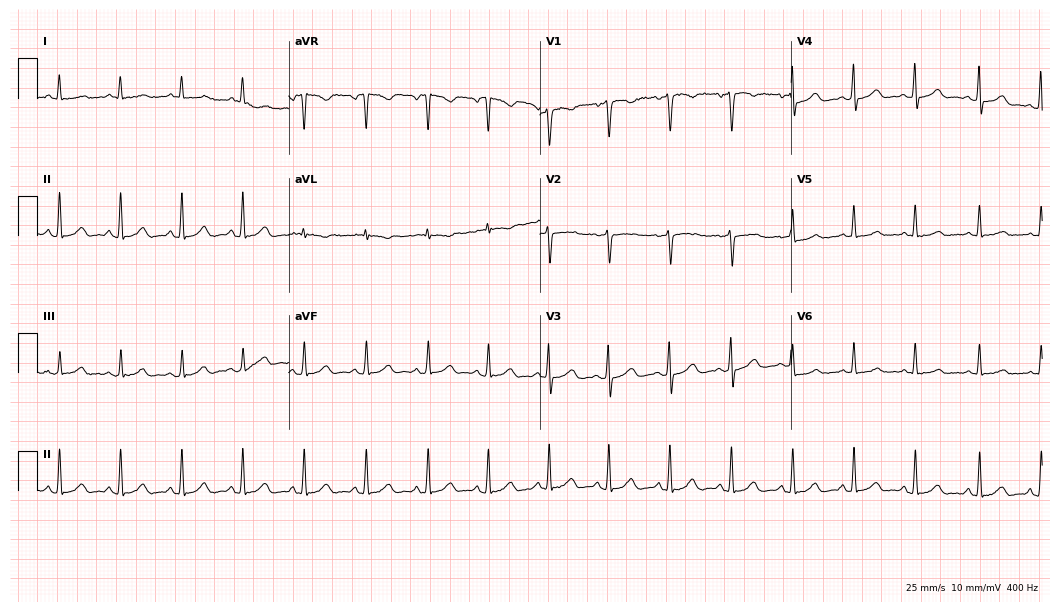
12-lead ECG from a 47-year-old female (10.2-second recording at 400 Hz). No first-degree AV block, right bundle branch block (RBBB), left bundle branch block (LBBB), sinus bradycardia, atrial fibrillation (AF) or sinus tachycardia recorded for this tracing. Other findings, if any, are not listed.